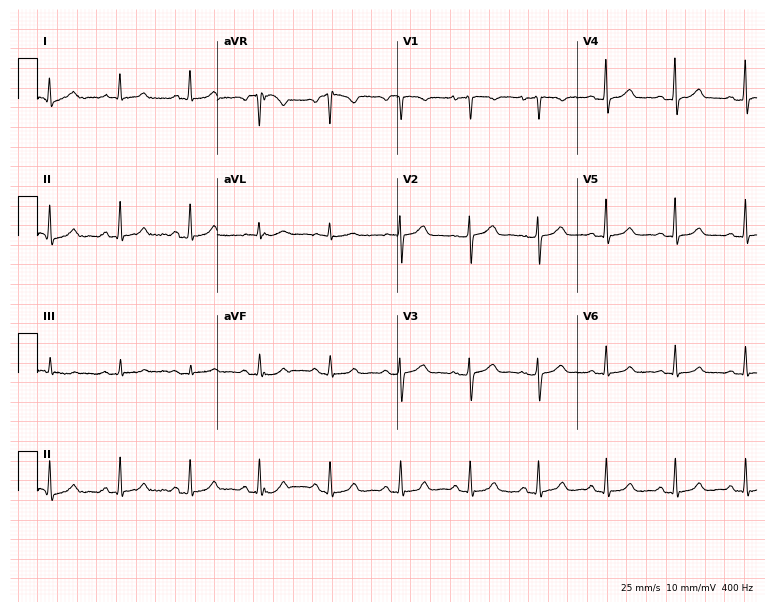
12-lead ECG from a female patient, 55 years old. Recorded interpretation: within normal limits.